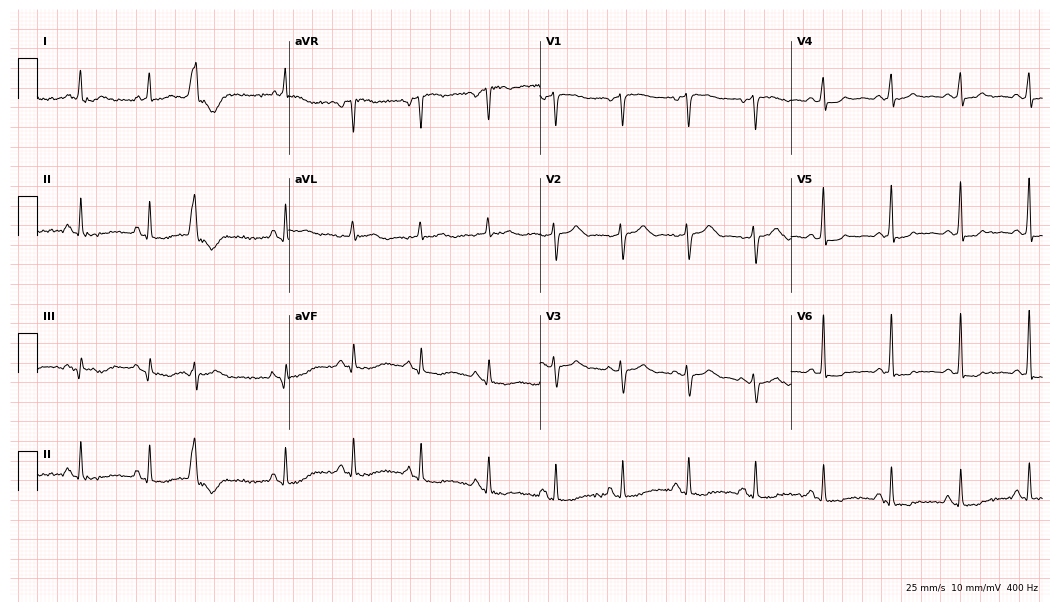
12-lead ECG from a 66-year-old female (10.2-second recording at 400 Hz). No first-degree AV block, right bundle branch block, left bundle branch block, sinus bradycardia, atrial fibrillation or sinus tachycardia recorded for this tracing.